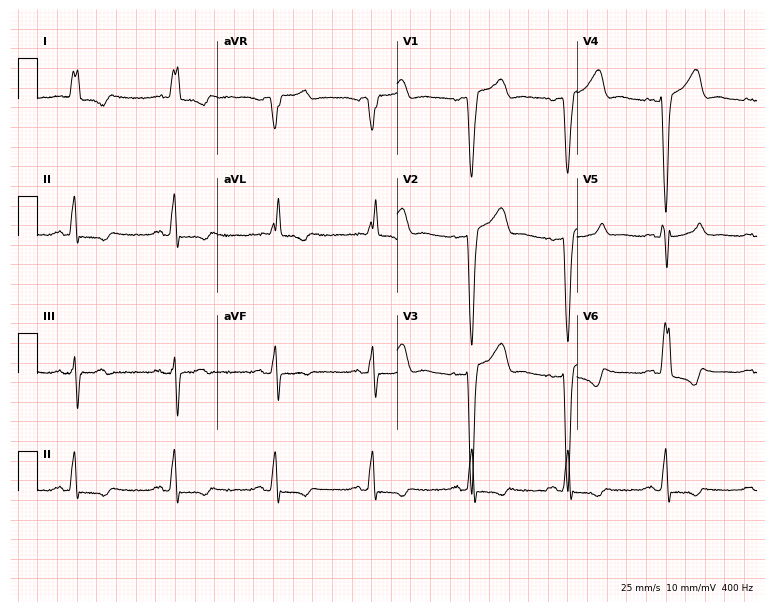
ECG — a woman, 83 years old. Findings include left bundle branch block (LBBB).